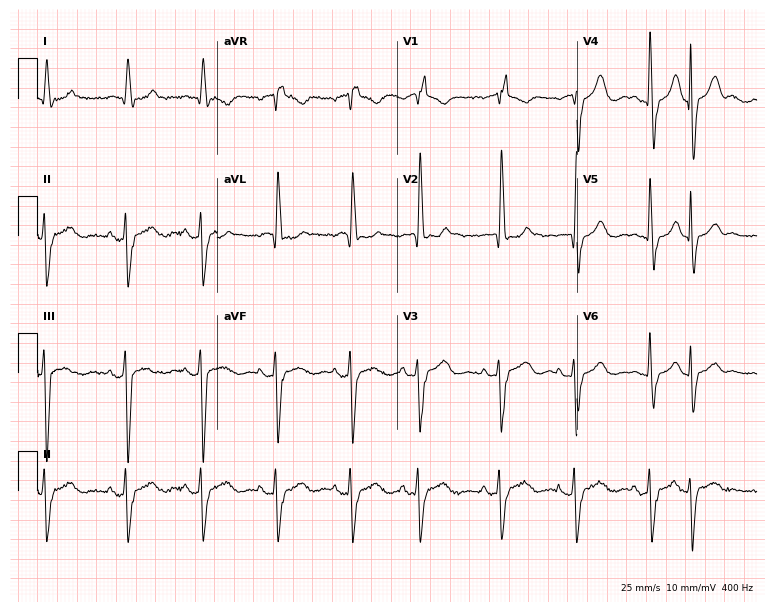
Standard 12-lead ECG recorded from a 66-year-old female (7.3-second recording at 400 Hz). The tracing shows right bundle branch block (RBBB), atrial fibrillation (AF).